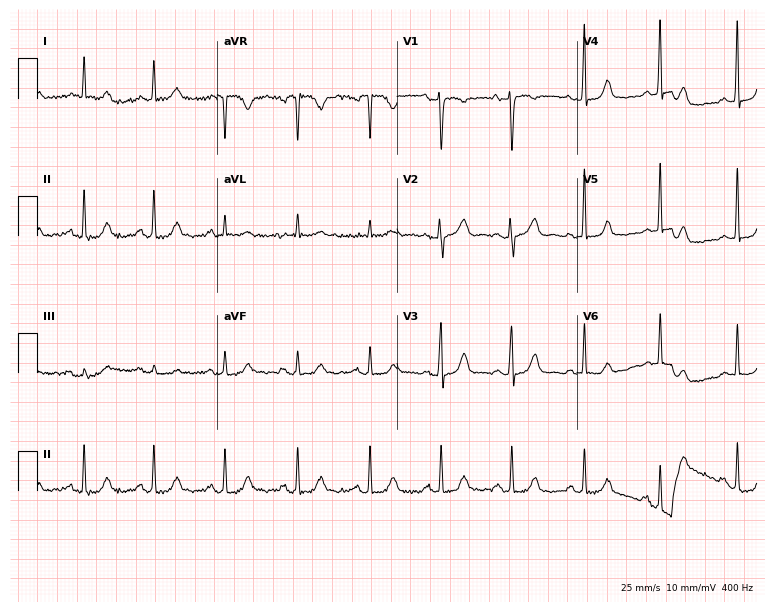
ECG — a woman, 44 years old. Labelled as a normal ECG.